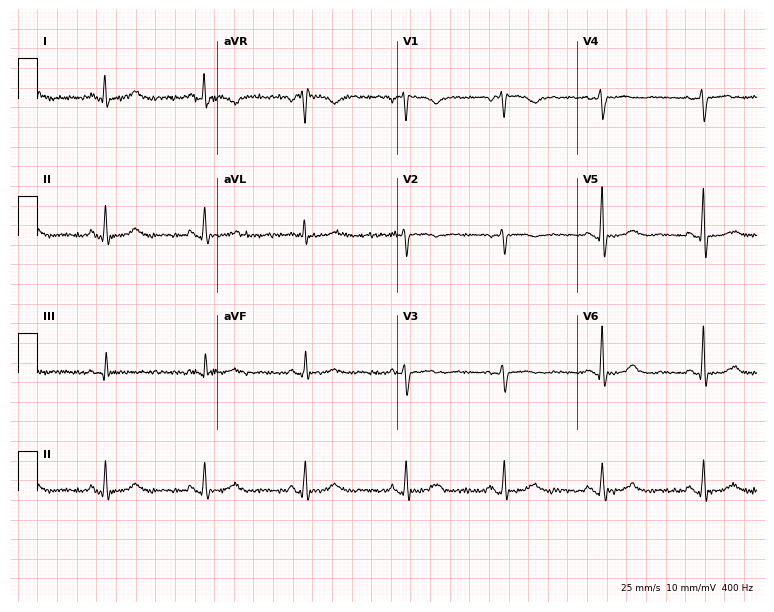
Resting 12-lead electrocardiogram. Patient: a 65-year-old female. Read as a normal ECG.